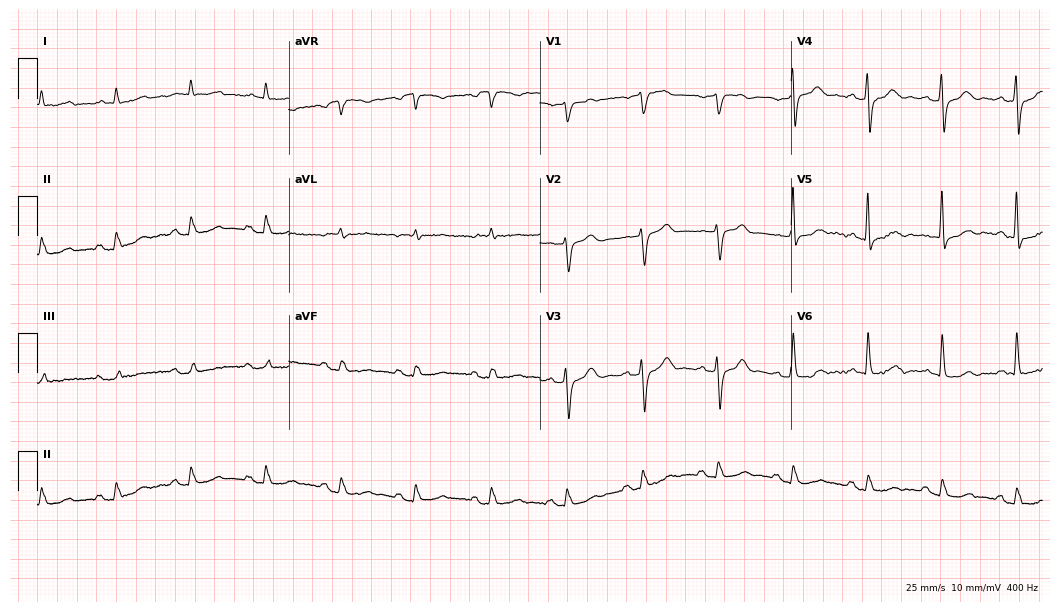
Electrocardiogram (10.2-second recording at 400 Hz), a 78-year-old man. Of the six screened findings (first-degree AV block, right bundle branch block (RBBB), left bundle branch block (LBBB), sinus bradycardia, atrial fibrillation (AF), sinus tachycardia), none is recorded.